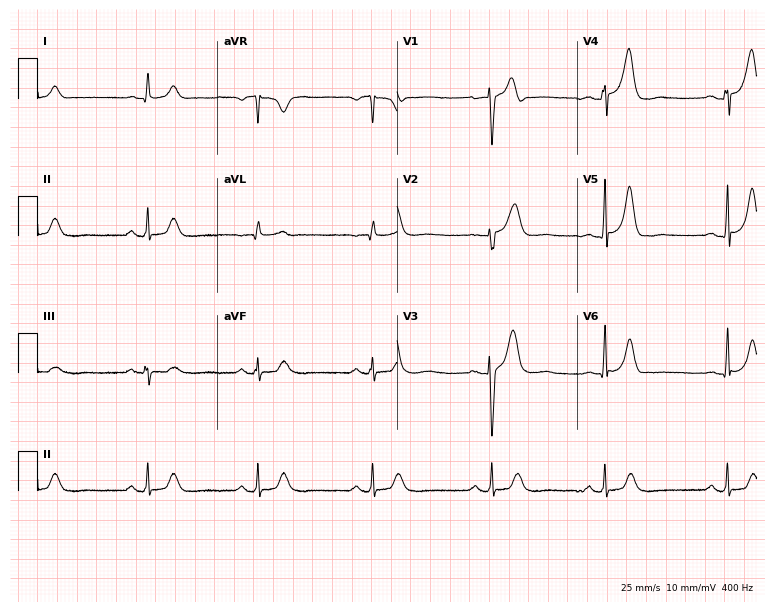
Electrocardiogram (7.3-second recording at 400 Hz), a 53-year-old female. Of the six screened findings (first-degree AV block, right bundle branch block, left bundle branch block, sinus bradycardia, atrial fibrillation, sinus tachycardia), none is recorded.